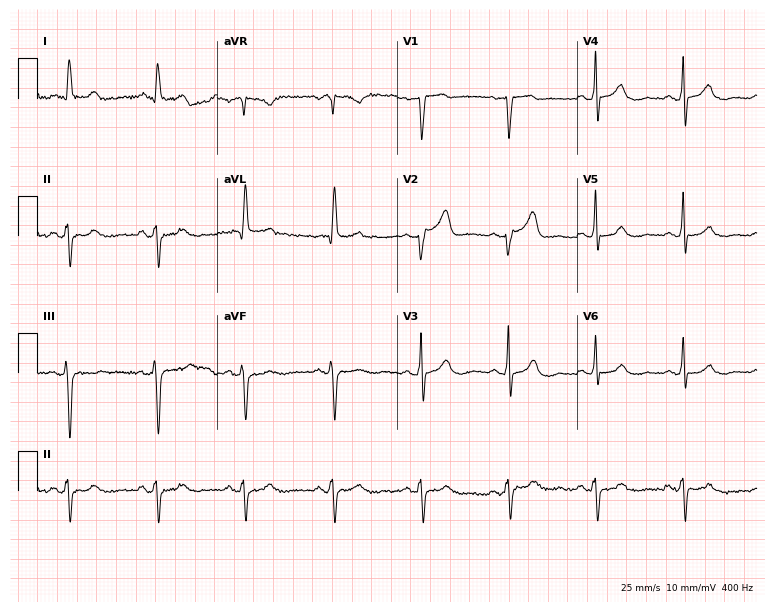
Resting 12-lead electrocardiogram (7.3-second recording at 400 Hz). Patient: a male, 77 years old. None of these six findings is recorded: first-degree AV block, right bundle branch block, left bundle branch block, sinus bradycardia, atrial fibrillation, sinus tachycardia. Findings outside these six are not listed.